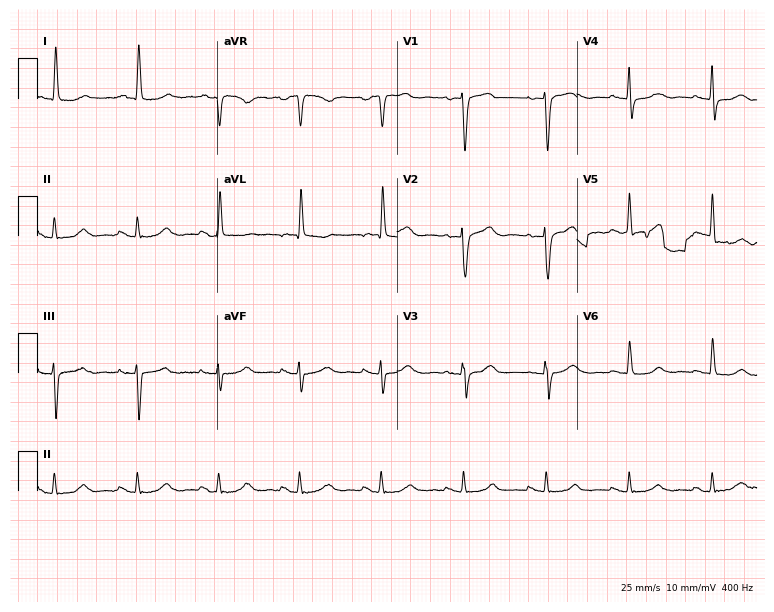
Resting 12-lead electrocardiogram. Patient: a female, 68 years old. None of these six findings is recorded: first-degree AV block, right bundle branch block (RBBB), left bundle branch block (LBBB), sinus bradycardia, atrial fibrillation (AF), sinus tachycardia.